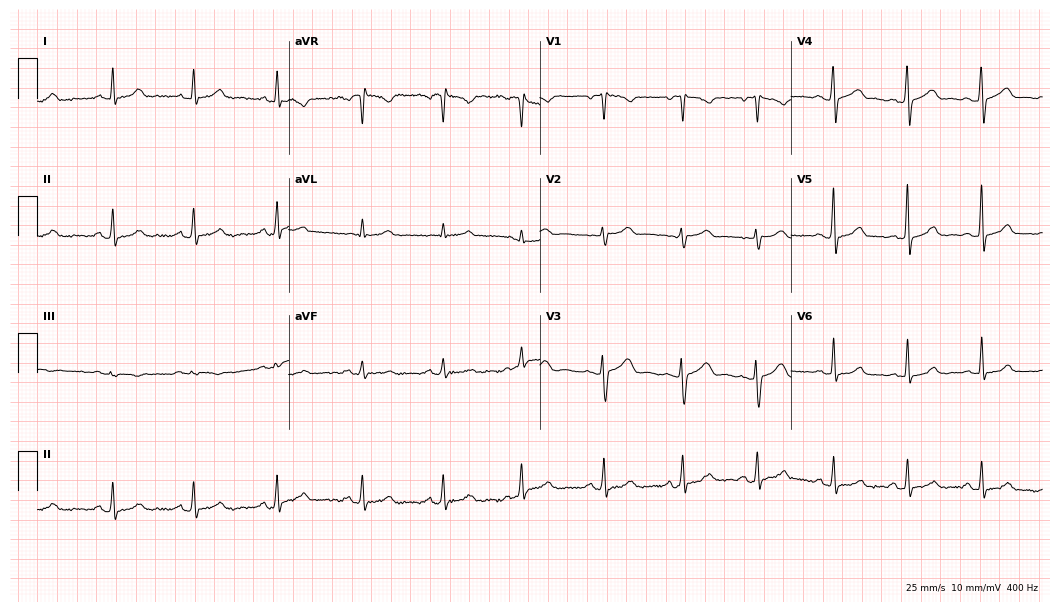
Standard 12-lead ECG recorded from a 43-year-old female patient. Read as a normal ECG.